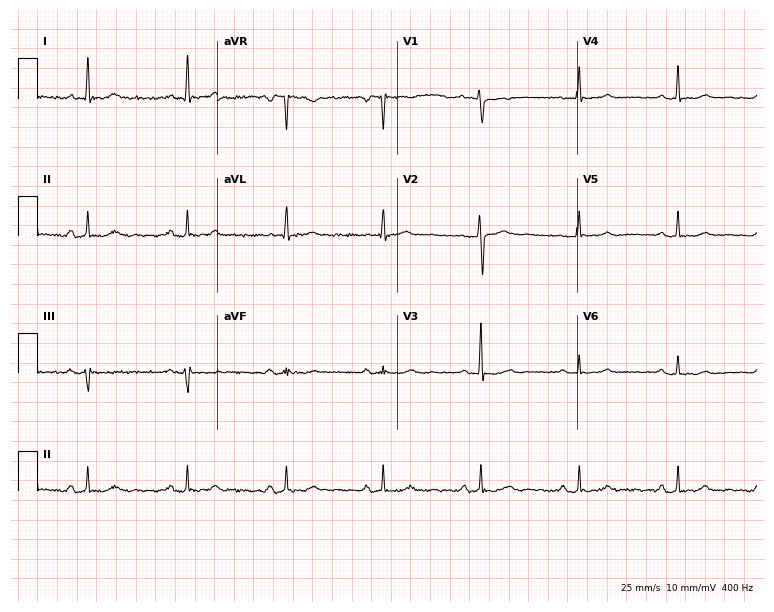
Resting 12-lead electrocardiogram (7.3-second recording at 400 Hz). Patient: a 56-year-old female. None of these six findings is recorded: first-degree AV block, right bundle branch block, left bundle branch block, sinus bradycardia, atrial fibrillation, sinus tachycardia. Only these six findings were labelled.